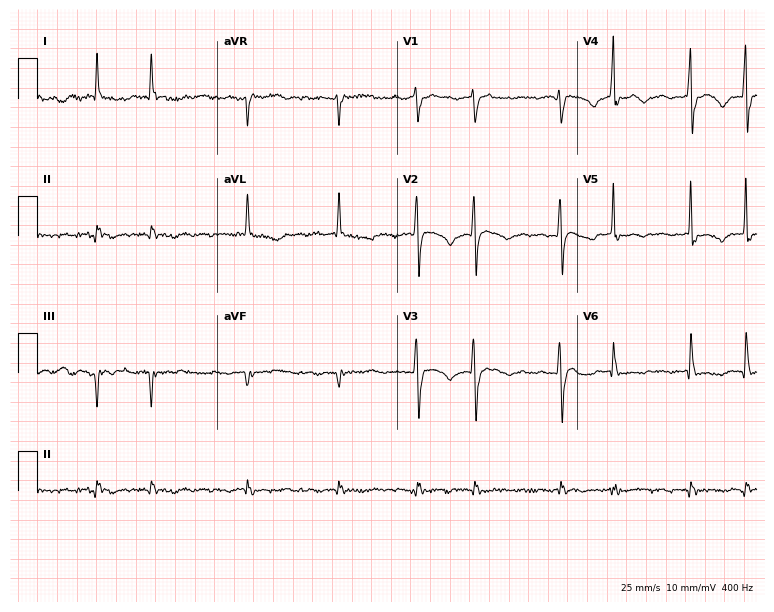
12-lead ECG from a male patient, 58 years old (7.3-second recording at 400 Hz). Shows atrial fibrillation.